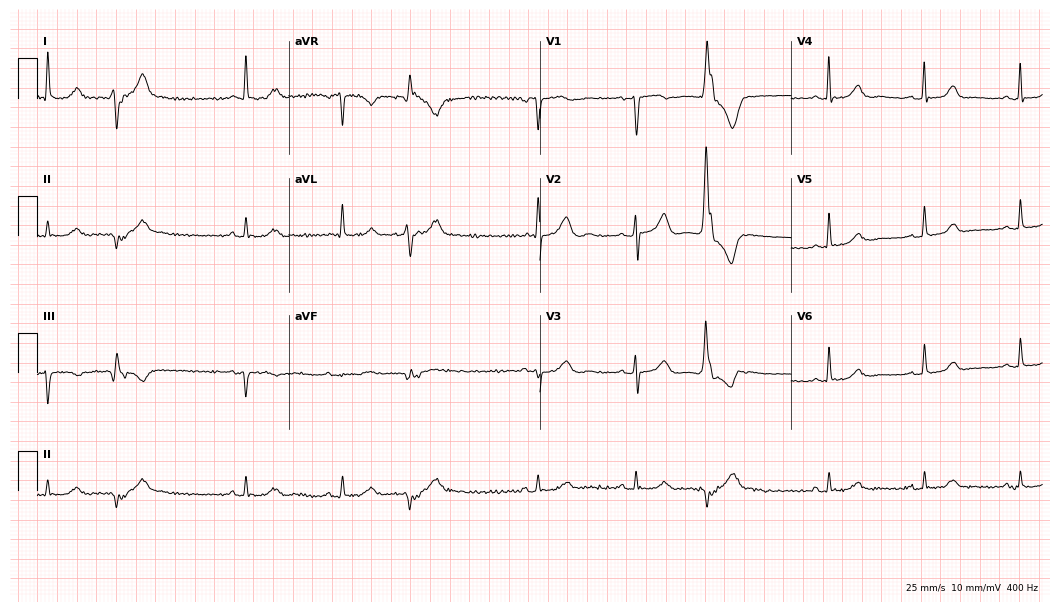
ECG (10.2-second recording at 400 Hz) — a female patient, 84 years old. Screened for six findings — first-degree AV block, right bundle branch block, left bundle branch block, sinus bradycardia, atrial fibrillation, sinus tachycardia — none is recorded.